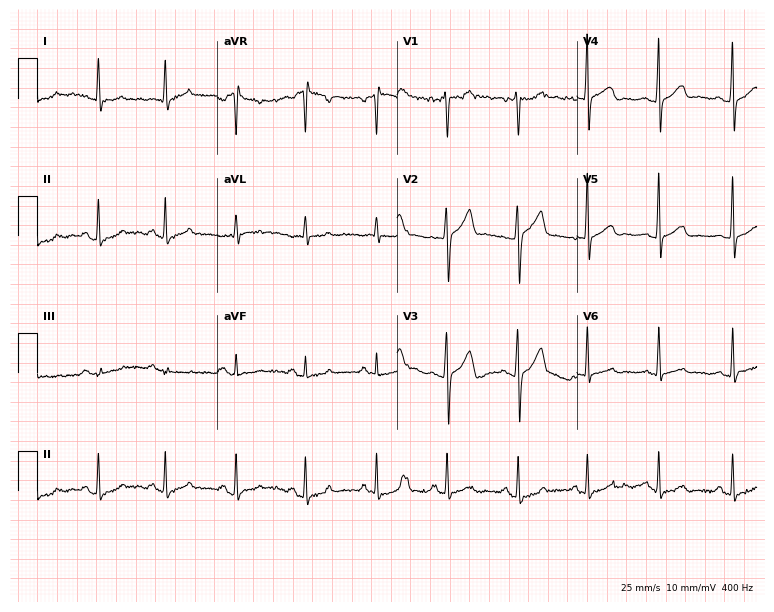
Standard 12-lead ECG recorded from a male patient, 39 years old (7.3-second recording at 400 Hz). Read as a normal ECG.